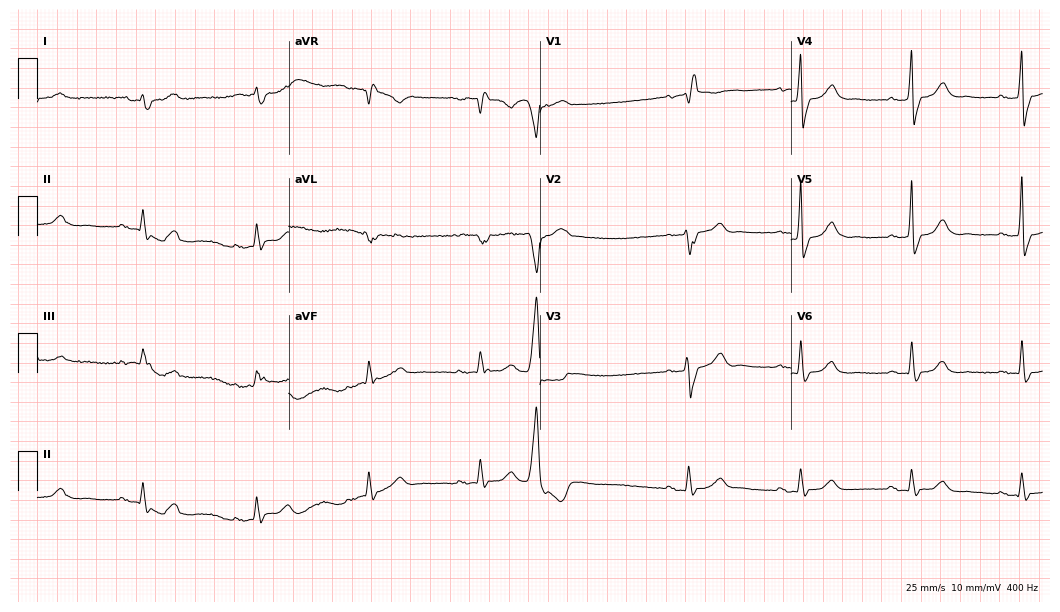
Electrocardiogram (10.2-second recording at 400 Hz), a man, 82 years old. Interpretation includes right bundle branch block.